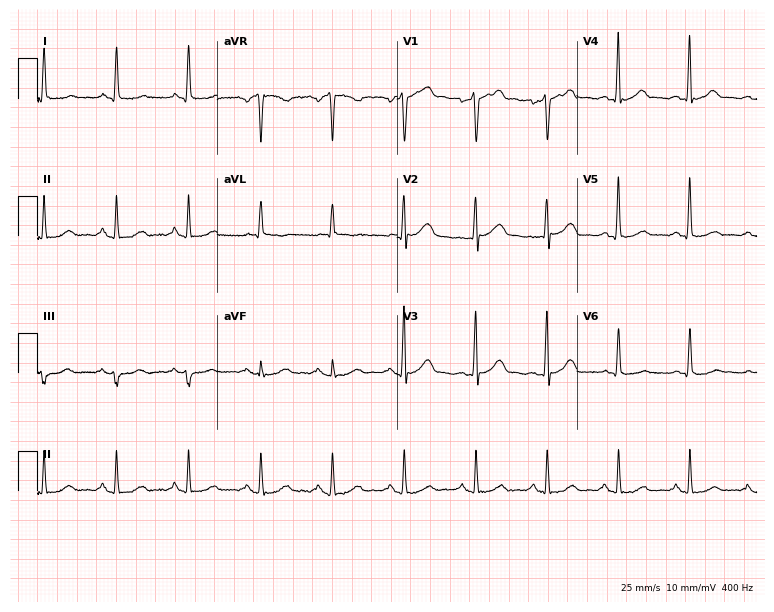
Standard 12-lead ECG recorded from a male, 68 years old (7.3-second recording at 400 Hz). None of these six findings is recorded: first-degree AV block, right bundle branch block, left bundle branch block, sinus bradycardia, atrial fibrillation, sinus tachycardia.